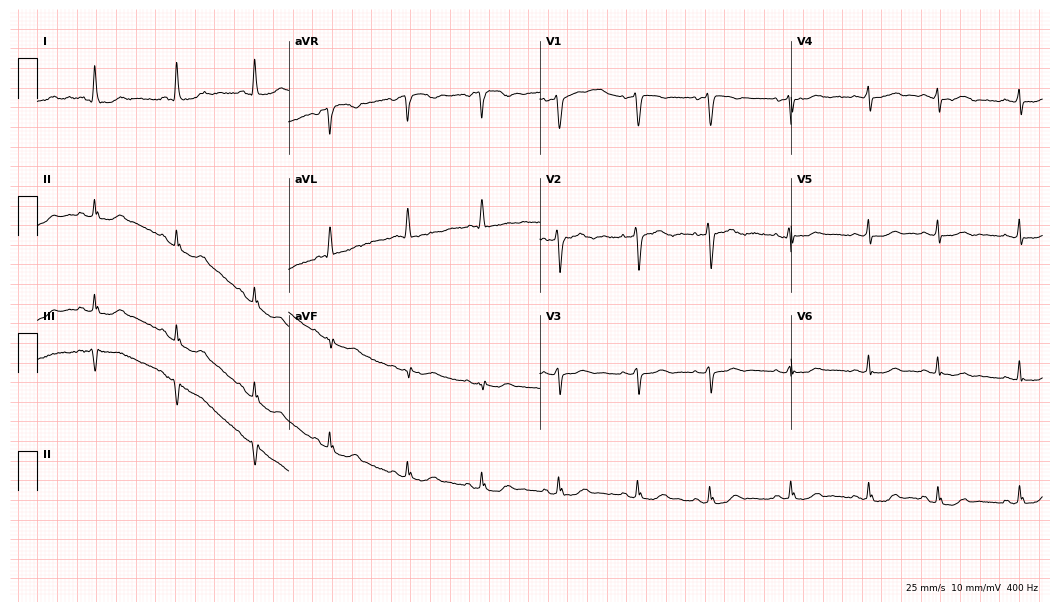
12-lead ECG from an 82-year-old woman (10.2-second recording at 400 Hz). Recorded interpretation: within normal limits.